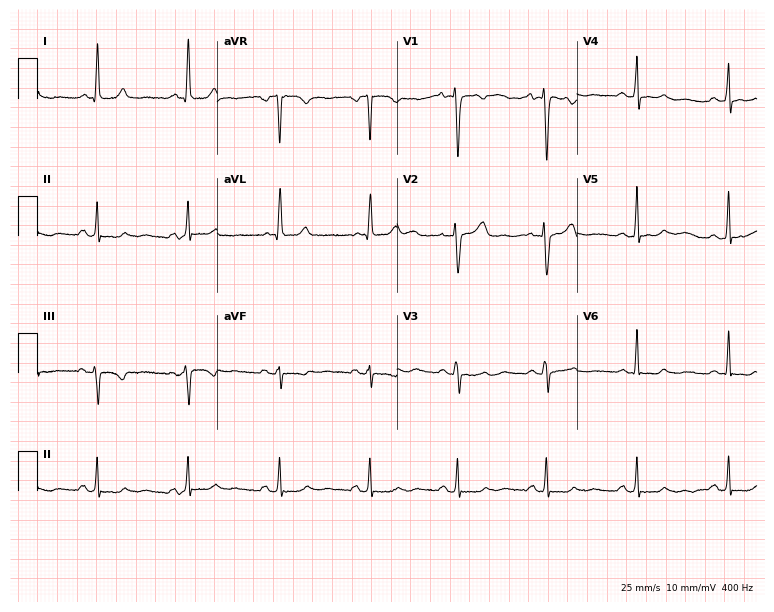
Standard 12-lead ECG recorded from a 33-year-old female patient. None of these six findings is recorded: first-degree AV block, right bundle branch block, left bundle branch block, sinus bradycardia, atrial fibrillation, sinus tachycardia. Findings outside these six are not listed.